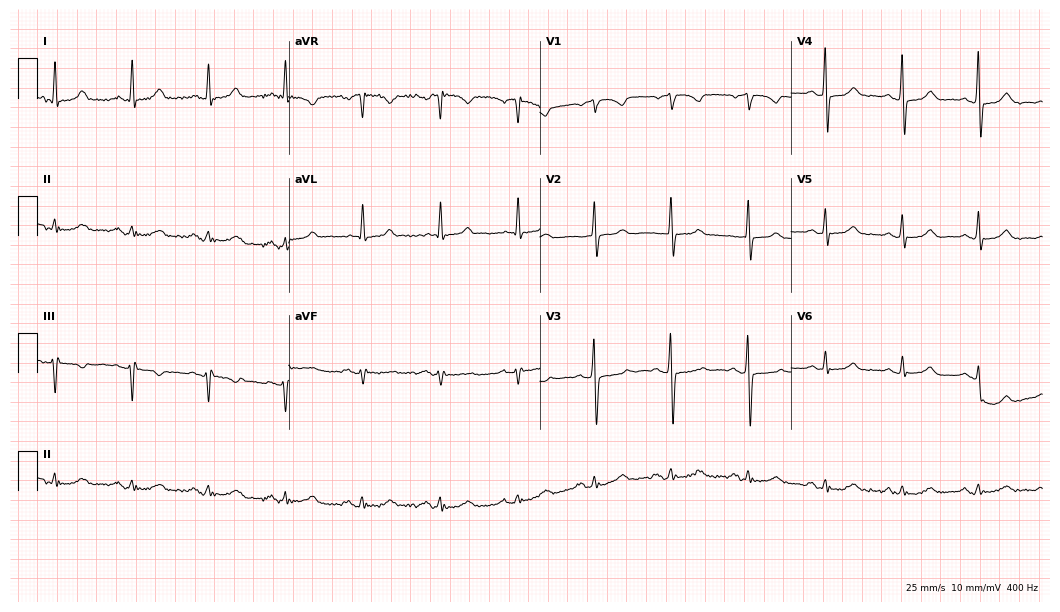
Resting 12-lead electrocardiogram (10.2-second recording at 400 Hz). Patient: a woman, 62 years old. None of these six findings is recorded: first-degree AV block, right bundle branch block, left bundle branch block, sinus bradycardia, atrial fibrillation, sinus tachycardia.